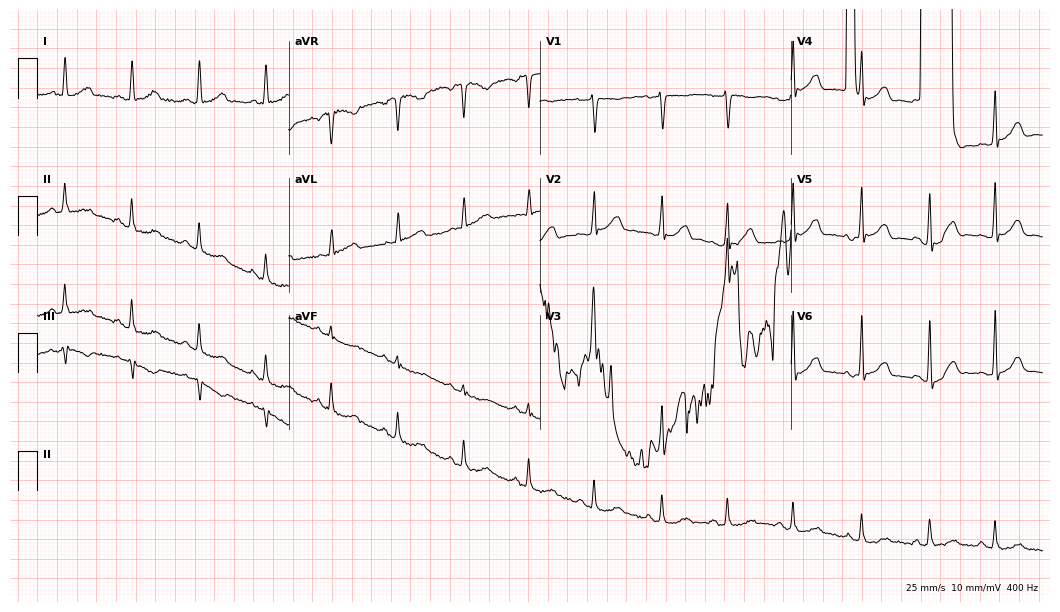
12-lead ECG (10.2-second recording at 400 Hz) from a 40-year-old female patient. Screened for six findings — first-degree AV block, right bundle branch block, left bundle branch block, sinus bradycardia, atrial fibrillation, sinus tachycardia — none is recorded.